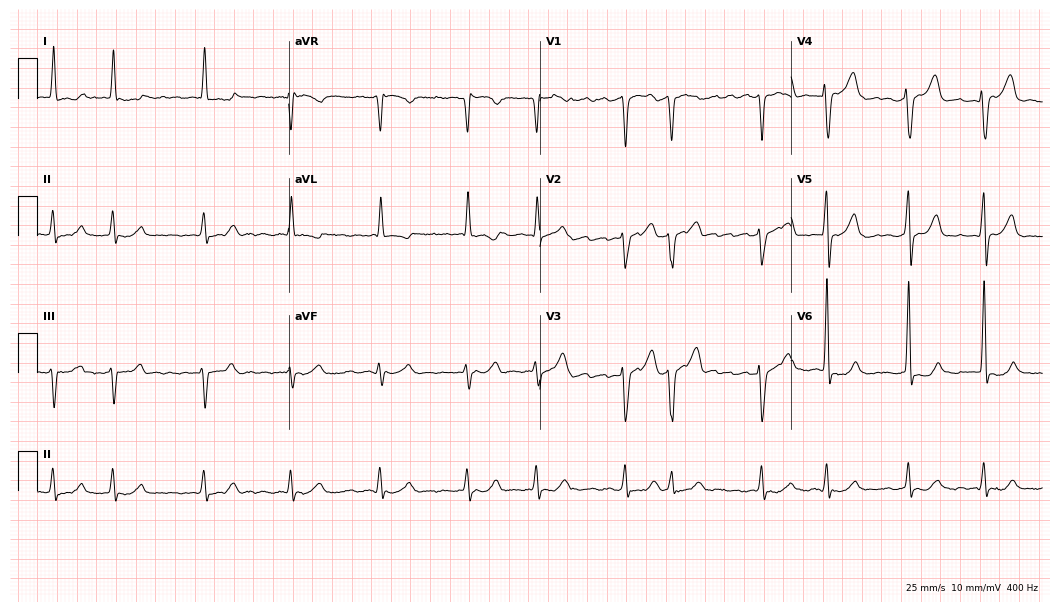
ECG — a man, 79 years old. Findings include atrial fibrillation (AF).